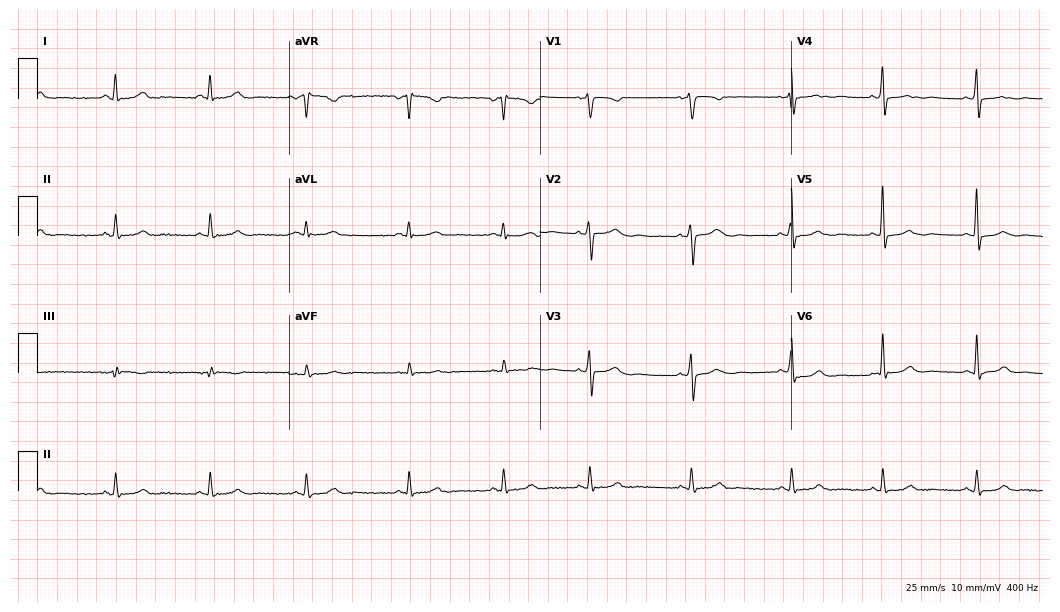
12-lead ECG from a woman, 43 years old. Screened for six findings — first-degree AV block, right bundle branch block (RBBB), left bundle branch block (LBBB), sinus bradycardia, atrial fibrillation (AF), sinus tachycardia — none is recorded.